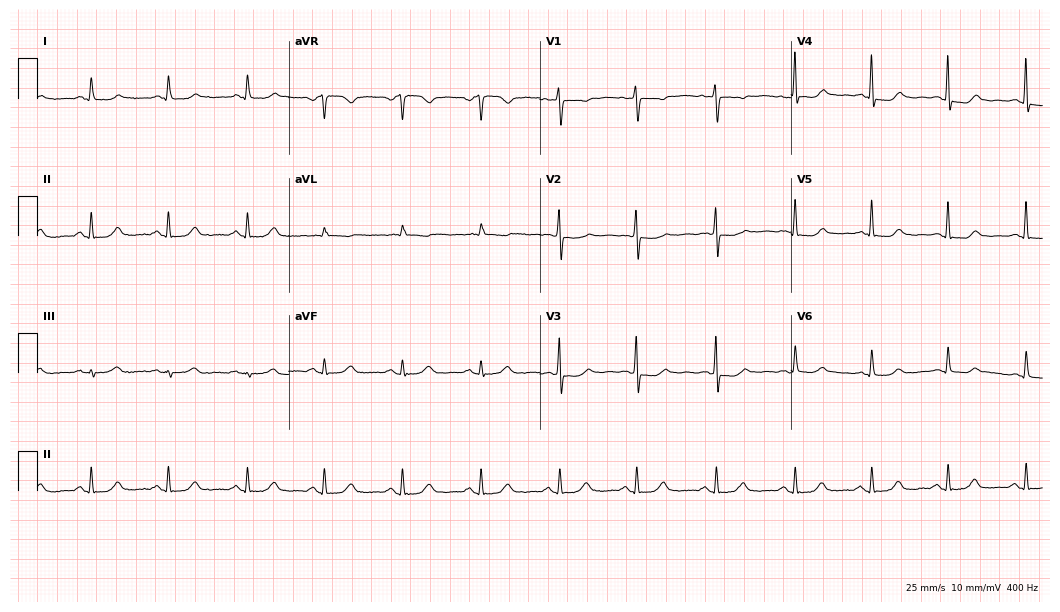
Standard 12-lead ECG recorded from a female, 64 years old (10.2-second recording at 400 Hz). None of these six findings is recorded: first-degree AV block, right bundle branch block, left bundle branch block, sinus bradycardia, atrial fibrillation, sinus tachycardia. Other findings, if any, are not listed.